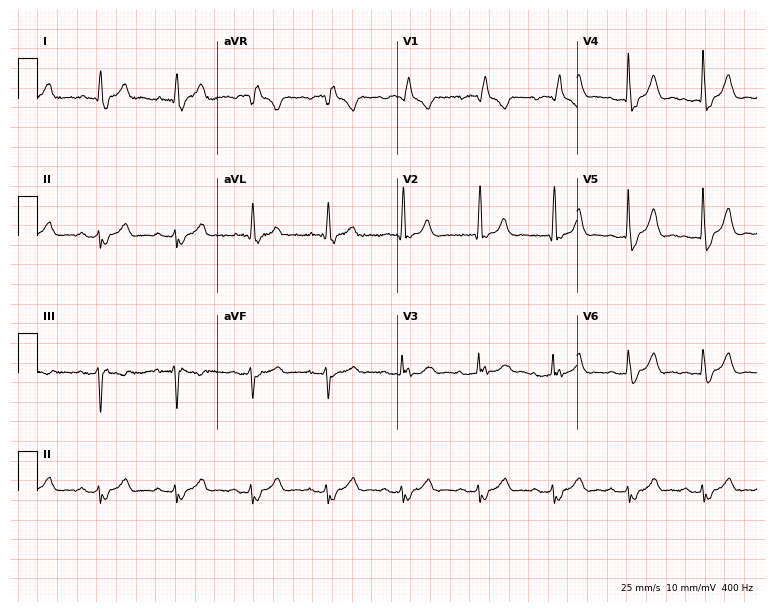
Resting 12-lead electrocardiogram. Patient: a male, 83 years old. The tracing shows right bundle branch block.